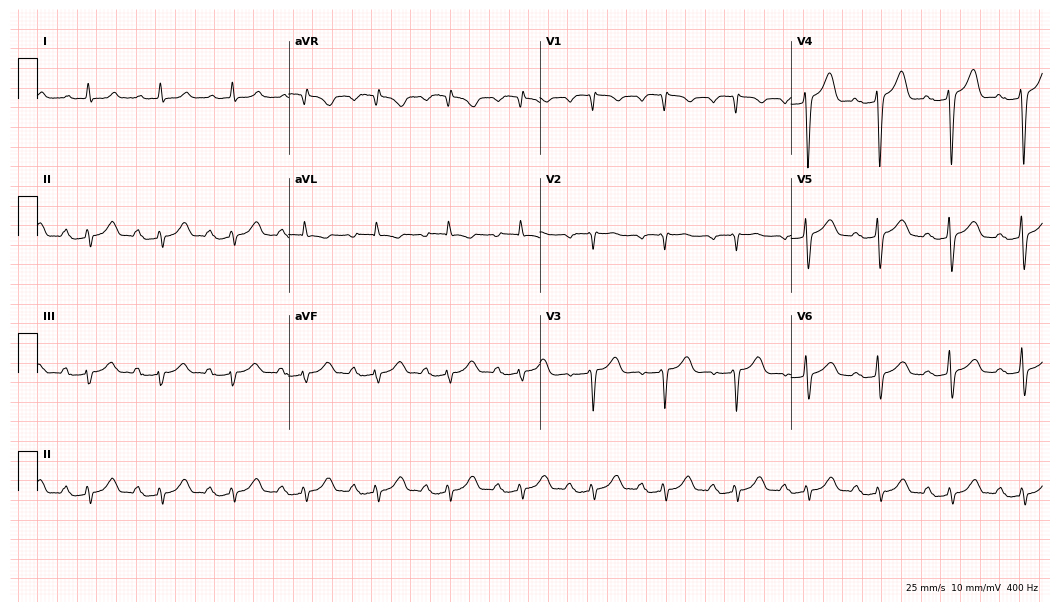
12-lead ECG from an 80-year-old female patient (10.2-second recording at 400 Hz). Shows first-degree AV block.